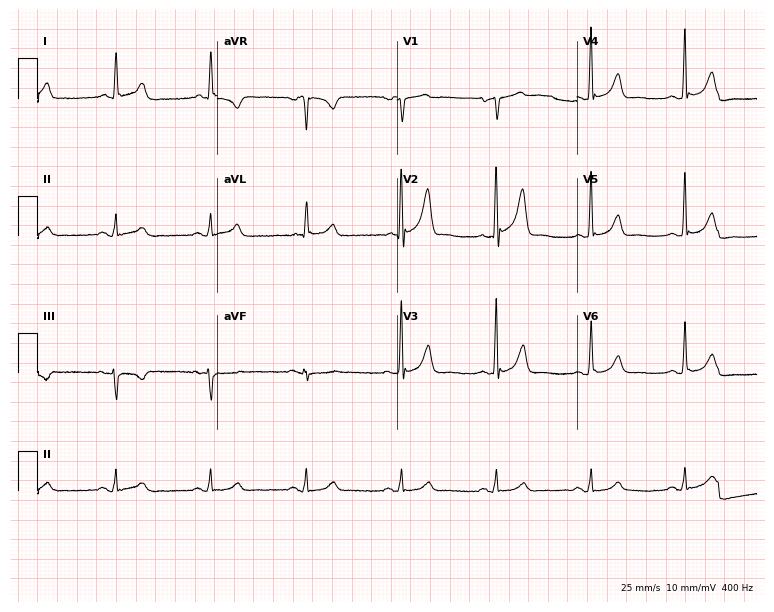
Electrocardiogram (7.3-second recording at 400 Hz), a male patient, 75 years old. Of the six screened findings (first-degree AV block, right bundle branch block (RBBB), left bundle branch block (LBBB), sinus bradycardia, atrial fibrillation (AF), sinus tachycardia), none is recorded. Only these six findings were labelled.